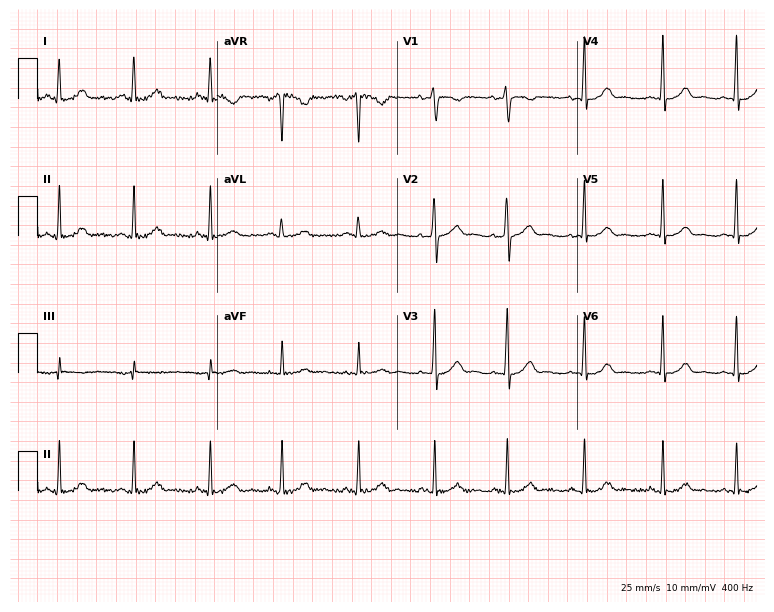
12-lead ECG from a woman, 42 years old. No first-degree AV block, right bundle branch block (RBBB), left bundle branch block (LBBB), sinus bradycardia, atrial fibrillation (AF) or sinus tachycardia recorded for this tracing. Only these six findings were labelled.